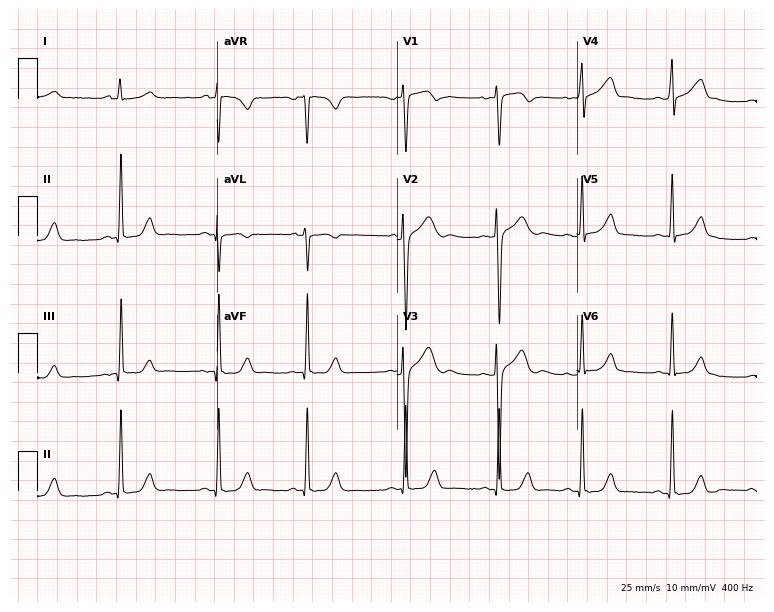
Standard 12-lead ECG recorded from a female, 20 years old (7.3-second recording at 400 Hz). None of these six findings is recorded: first-degree AV block, right bundle branch block (RBBB), left bundle branch block (LBBB), sinus bradycardia, atrial fibrillation (AF), sinus tachycardia.